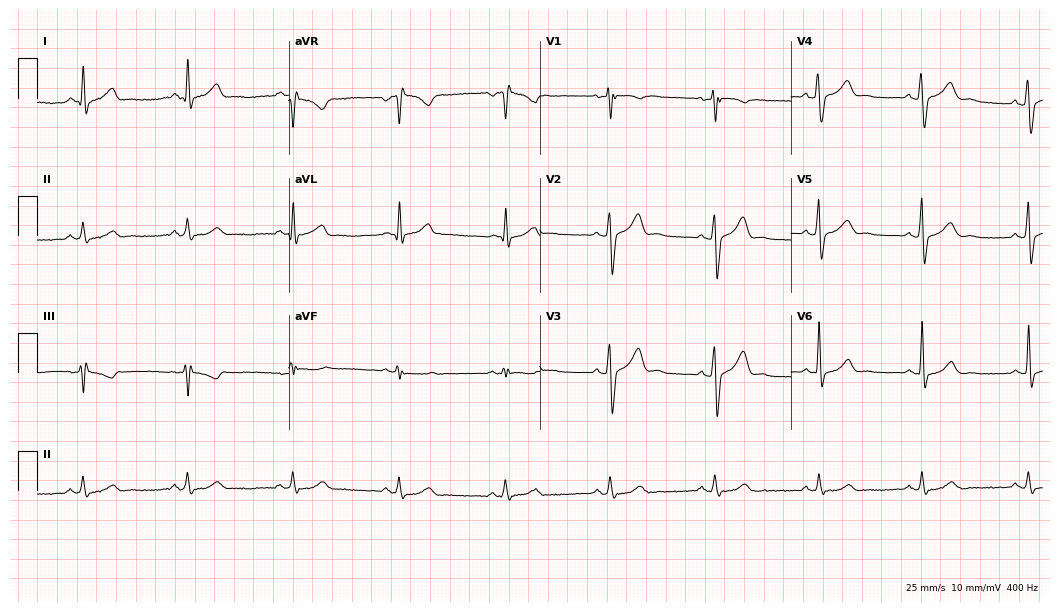
Standard 12-lead ECG recorded from a man, 46 years old. Read as a normal ECG.